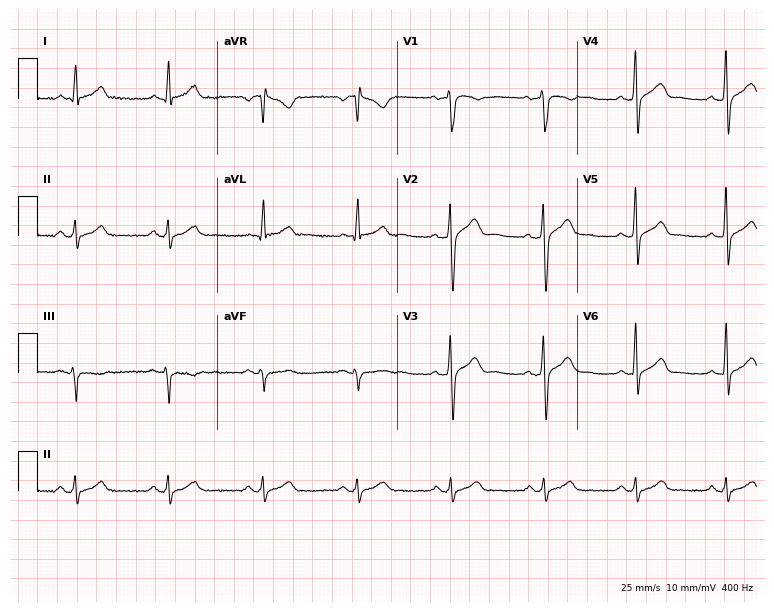
Resting 12-lead electrocardiogram. Patient: a 45-year-old male. Read as a normal ECG.